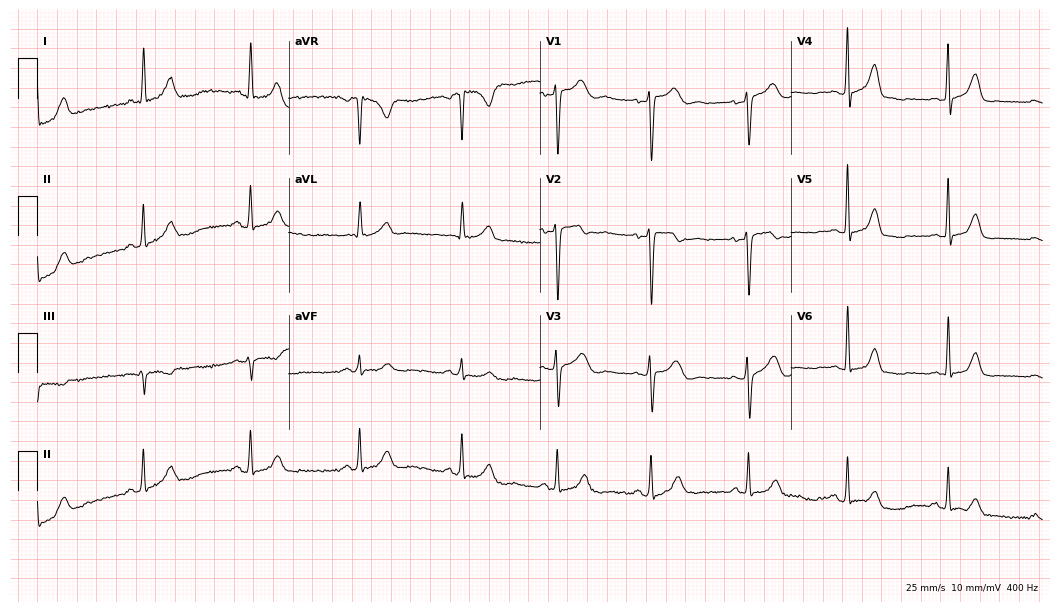
Electrocardiogram, a 54-year-old female. Of the six screened findings (first-degree AV block, right bundle branch block, left bundle branch block, sinus bradycardia, atrial fibrillation, sinus tachycardia), none is recorded. Findings outside these six are not listed.